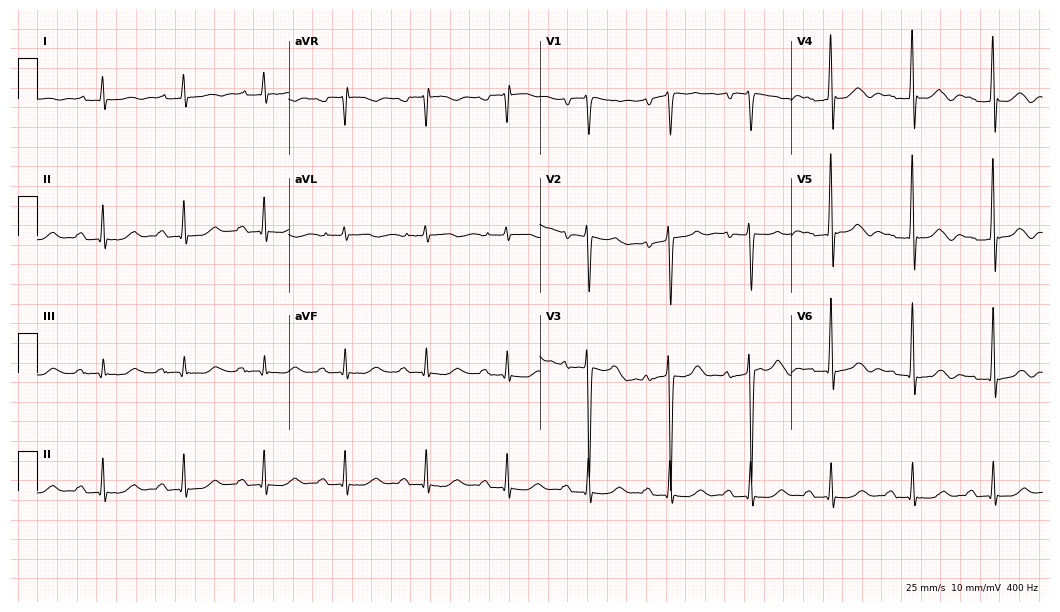
ECG (10.2-second recording at 400 Hz) — a 73-year-old male patient. Labelled as a normal ECG.